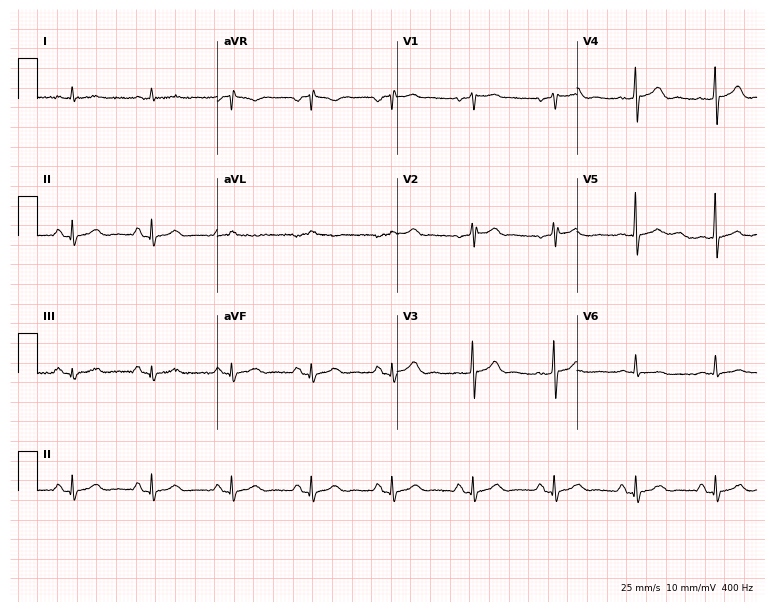
12-lead ECG from a 78-year-old man (7.3-second recording at 400 Hz). Recorded interpretation: within normal limits.